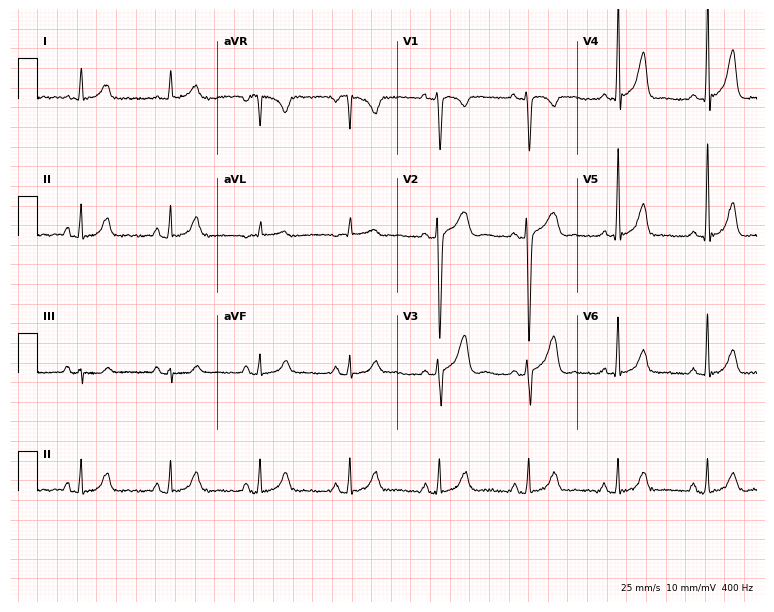
Standard 12-lead ECG recorded from a male patient, 60 years old (7.3-second recording at 400 Hz). Read as a normal ECG.